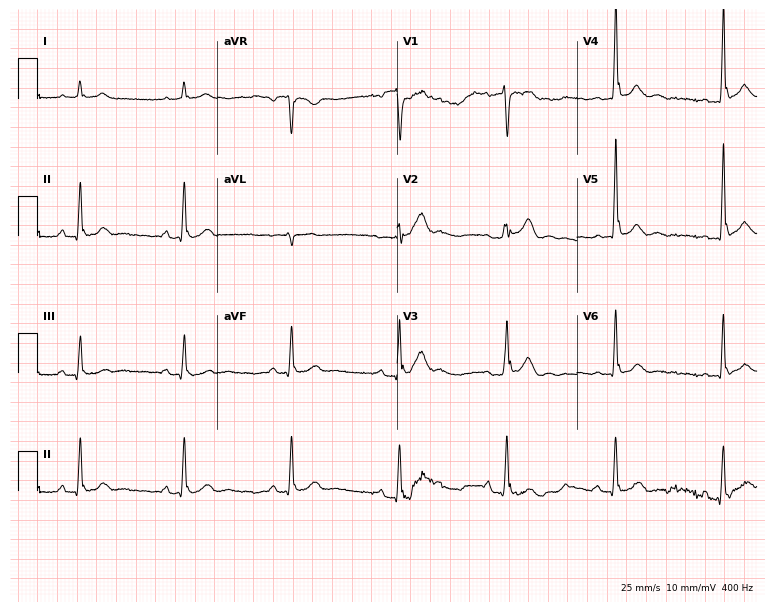
12-lead ECG (7.3-second recording at 400 Hz) from a man, 33 years old. Findings include first-degree AV block.